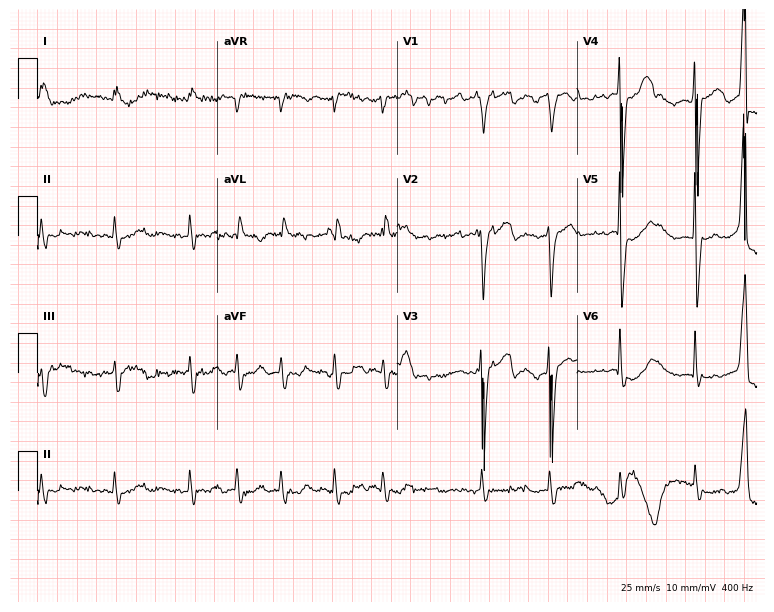
12-lead ECG from a man, 80 years old. Shows atrial fibrillation.